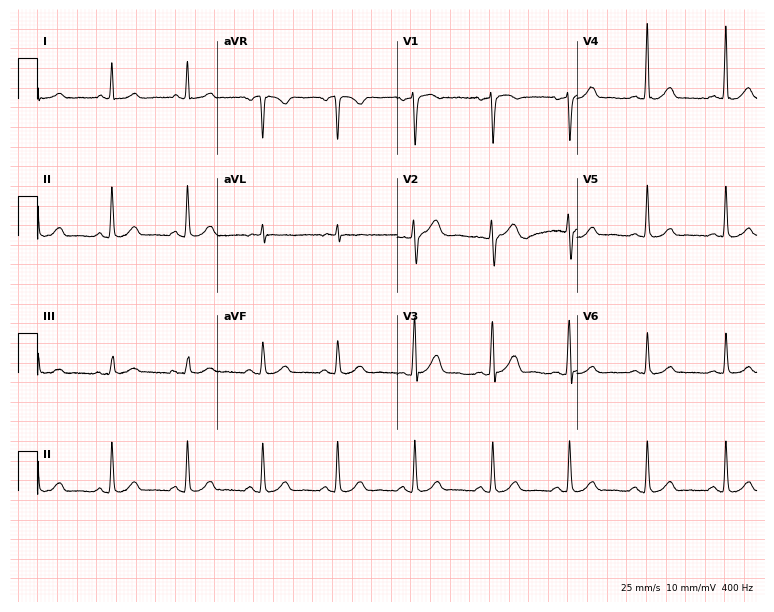
Electrocardiogram, a 48-year-old female. Overall reading on record: normal ECG.